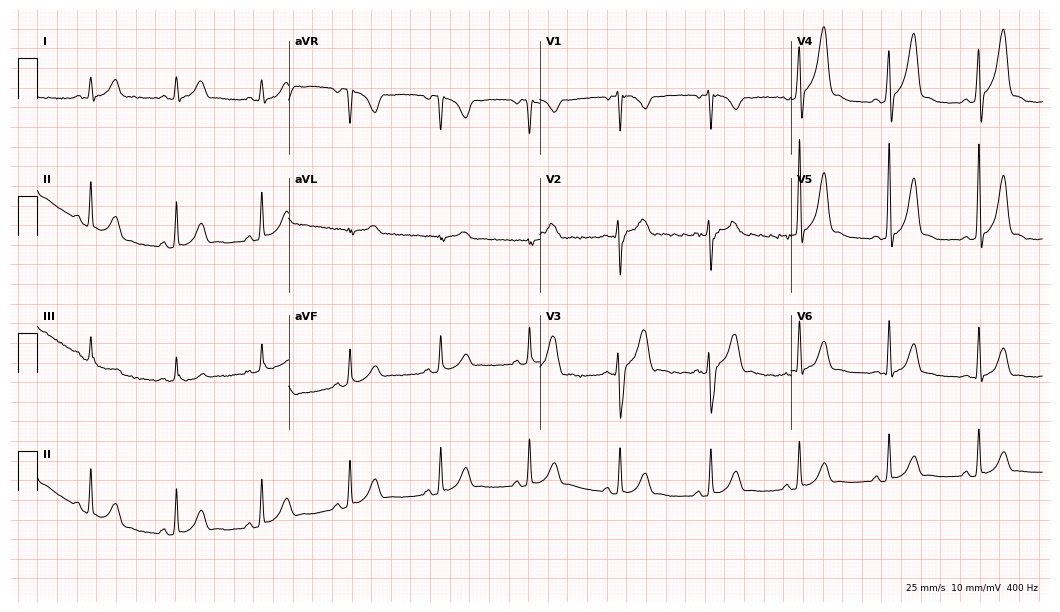
12-lead ECG from a 39-year-old man. Recorded interpretation: within normal limits.